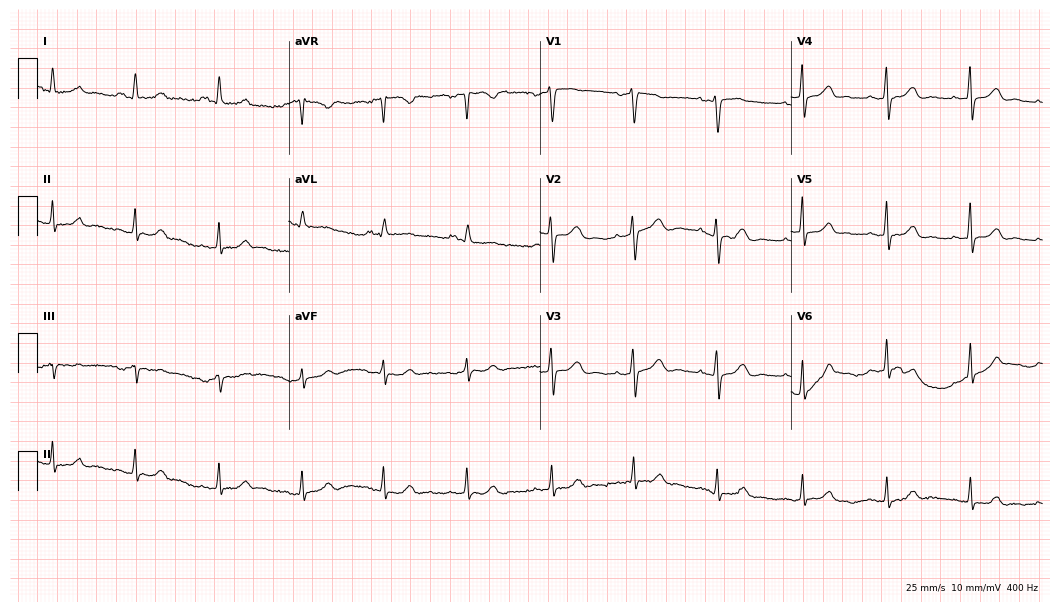
12-lead ECG from a 45-year-old female patient (10.2-second recording at 400 Hz). Recorded interpretation: within normal limits.